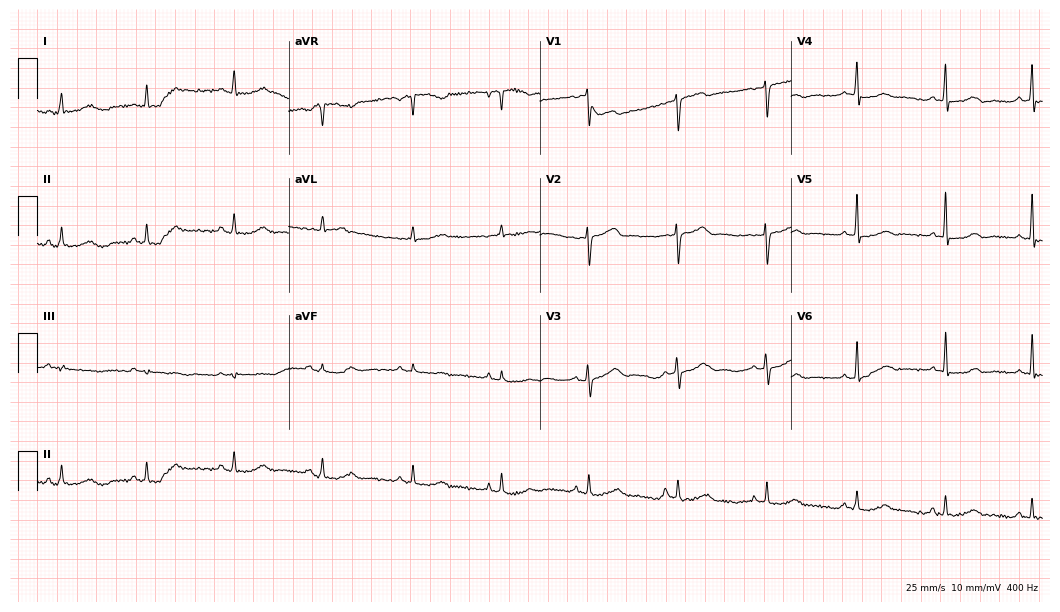
12-lead ECG from a woman, 51 years old. Labelled as a normal ECG.